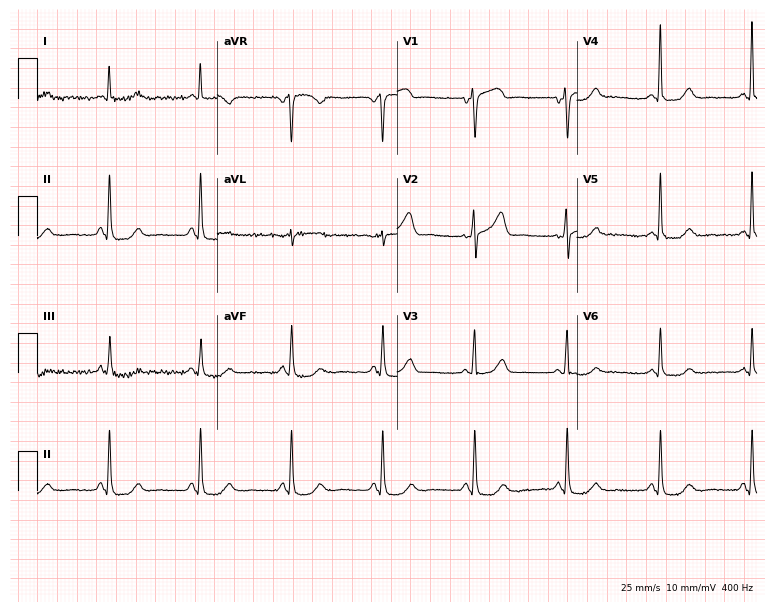
12-lead ECG from a woman, 57 years old (7.3-second recording at 400 Hz). No first-degree AV block, right bundle branch block, left bundle branch block, sinus bradycardia, atrial fibrillation or sinus tachycardia recorded for this tracing.